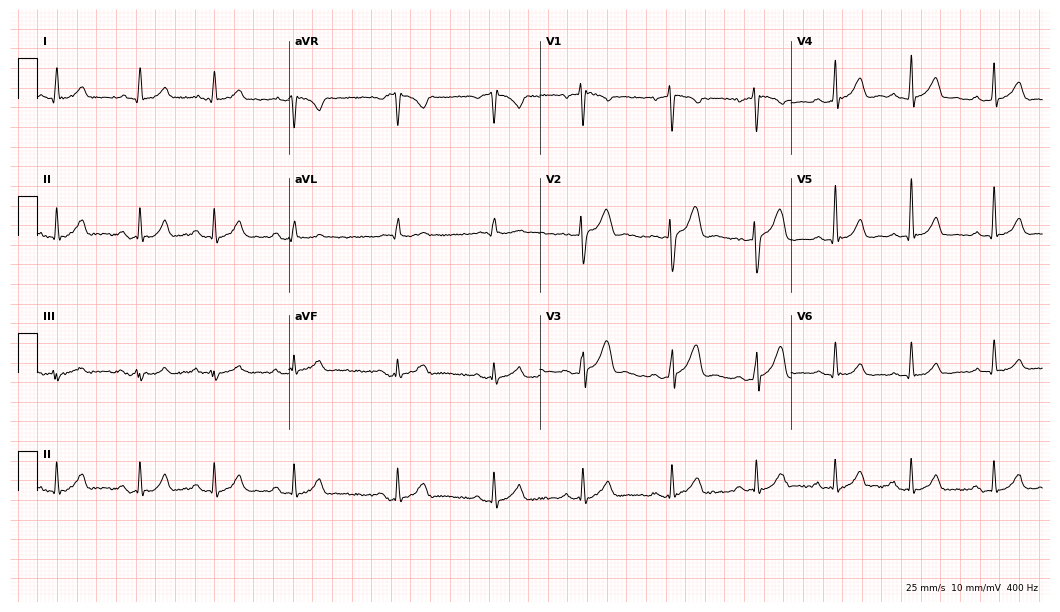
12-lead ECG from a 30-year-old male patient. Screened for six findings — first-degree AV block, right bundle branch block, left bundle branch block, sinus bradycardia, atrial fibrillation, sinus tachycardia — none is recorded.